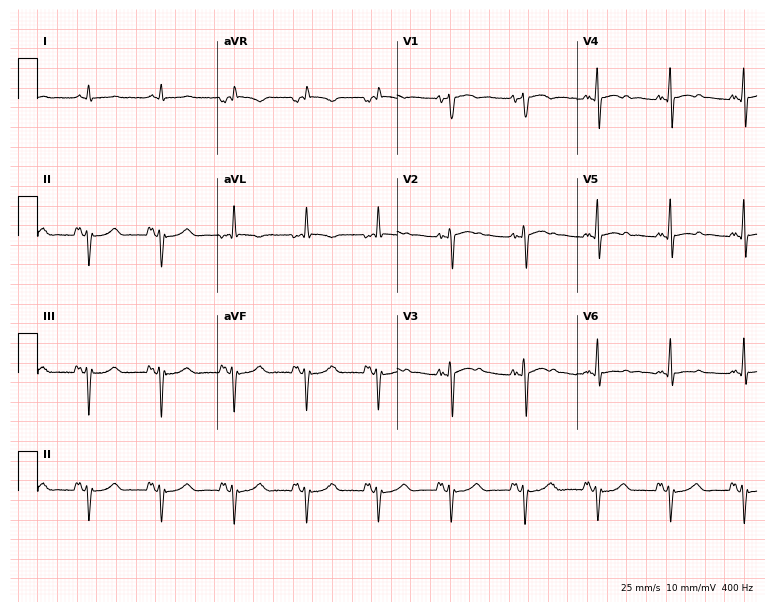
12-lead ECG from a 77-year-old male patient. Screened for six findings — first-degree AV block, right bundle branch block, left bundle branch block, sinus bradycardia, atrial fibrillation, sinus tachycardia — none is recorded. Only these six findings were labelled.